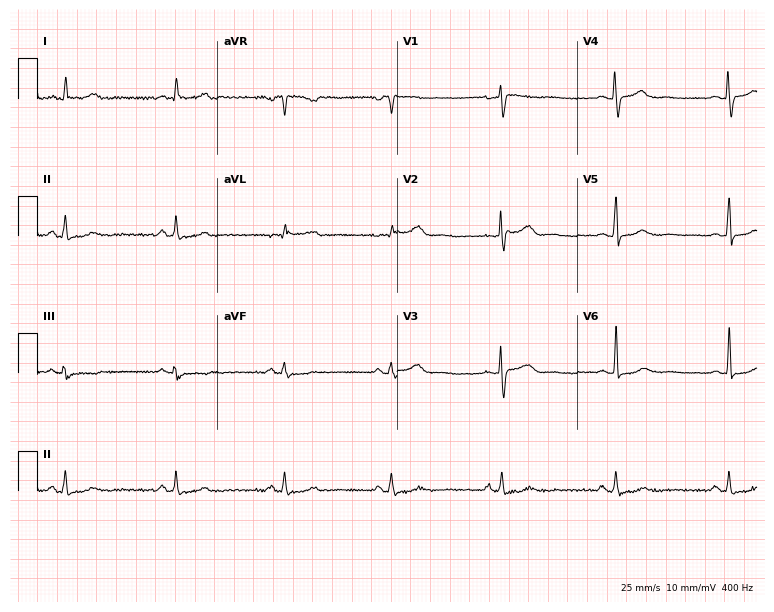
12-lead ECG (7.3-second recording at 400 Hz) from a 51-year-old female patient. Labelled as a normal ECG.